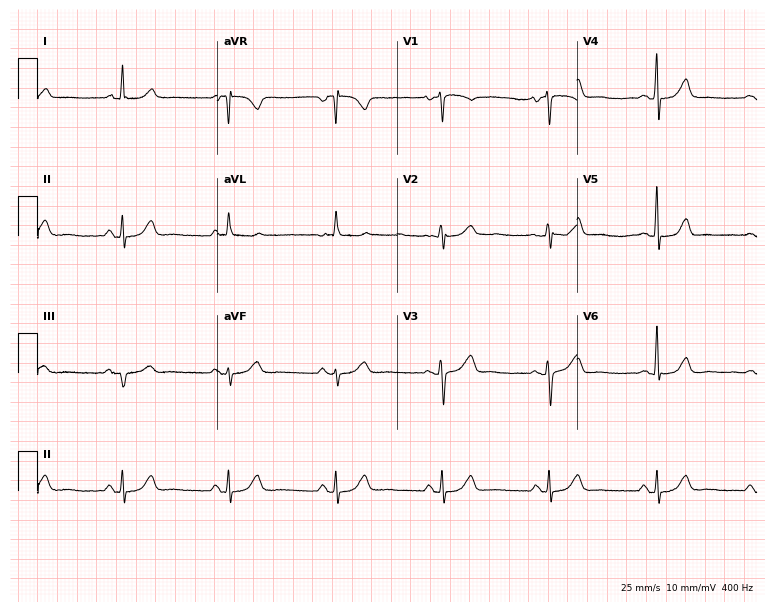
Electrocardiogram, a female patient, 60 years old. Overall reading on record: normal ECG.